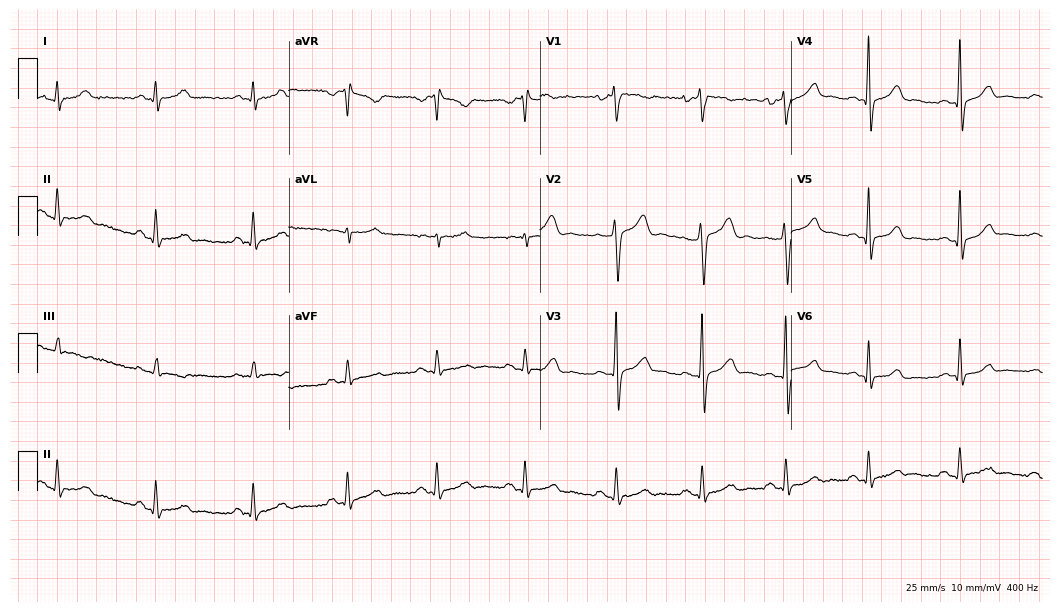
12-lead ECG from a 44-year-old female patient. Recorded interpretation: within normal limits.